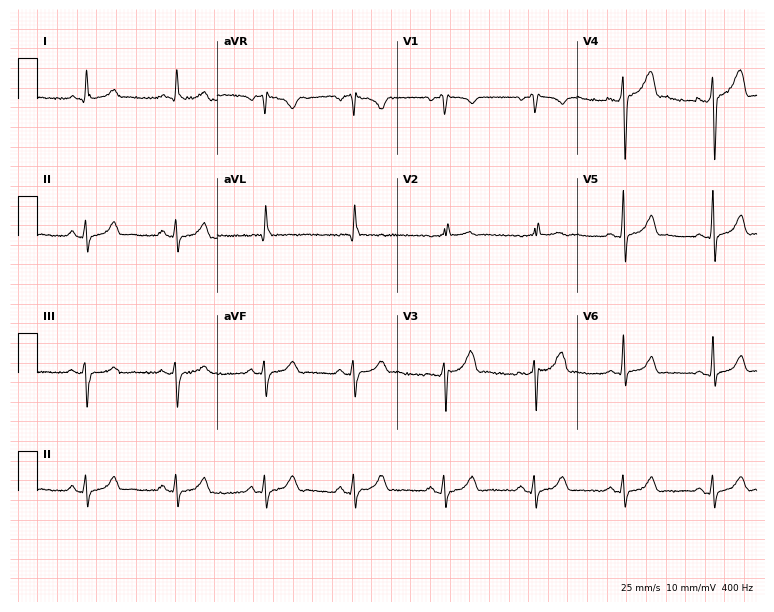
Resting 12-lead electrocardiogram. Patient: a 34-year-old man. None of these six findings is recorded: first-degree AV block, right bundle branch block, left bundle branch block, sinus bradycardia, atrial fibrillation, sinus tachycardia. Only these six findings were labelled.